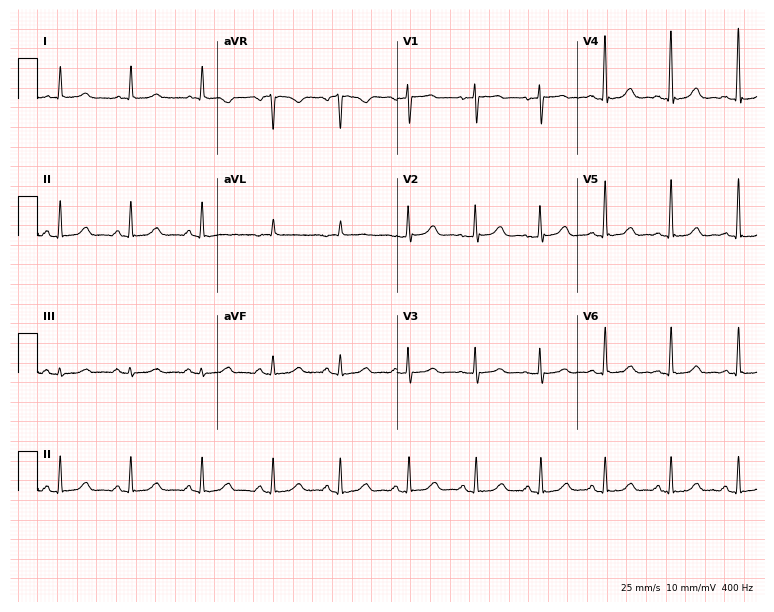
ECG — a female patient, 69 years old. Screened for six findings — first-degree AV block, right bundle branch block, left bundle branch block, sinus bradycardia, atrial fibrillation, sinus tachycardia — none is recorded.